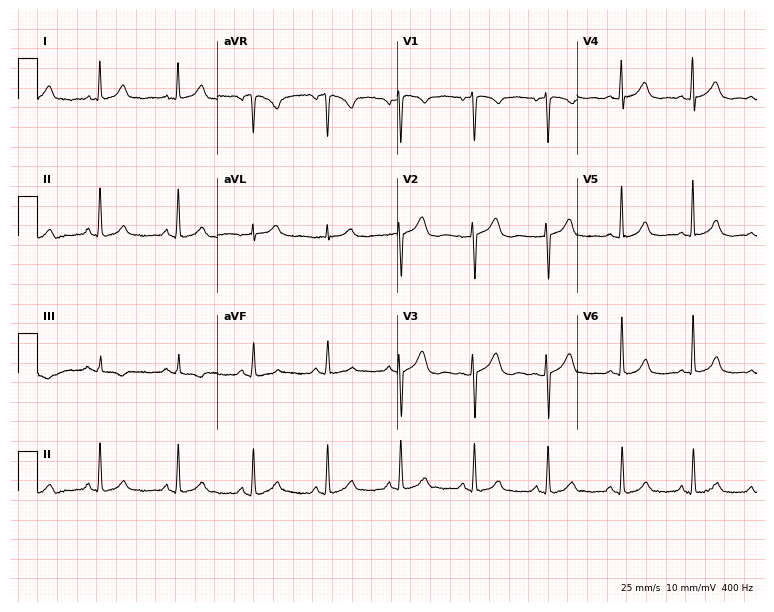
Standard 12-lead ECG recorded from a female, 46 years old. Read as a normal ECG.